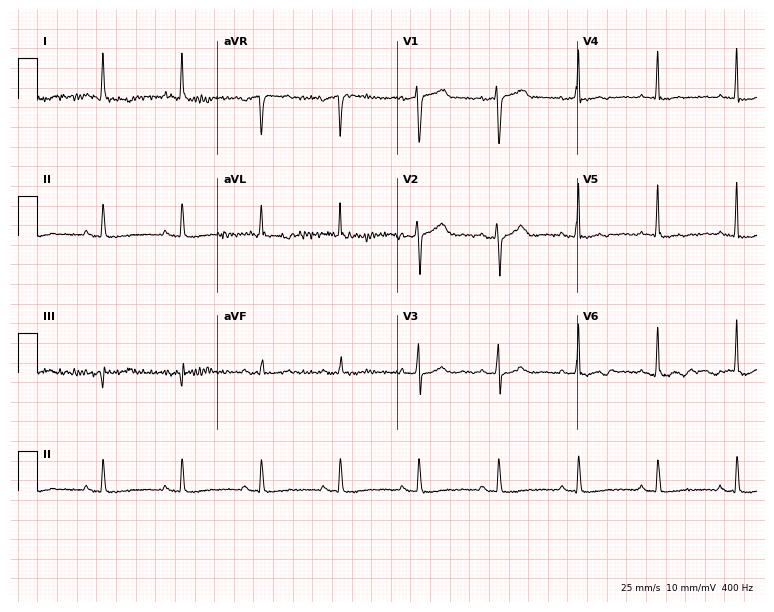
12-lead ECG from a 72-year-old female. No first-degree AV block, right bundle branch block, left bundle branch block, sinus bradycardia, atrial fibrillation or sinus tachycardia recorded for this tracing.